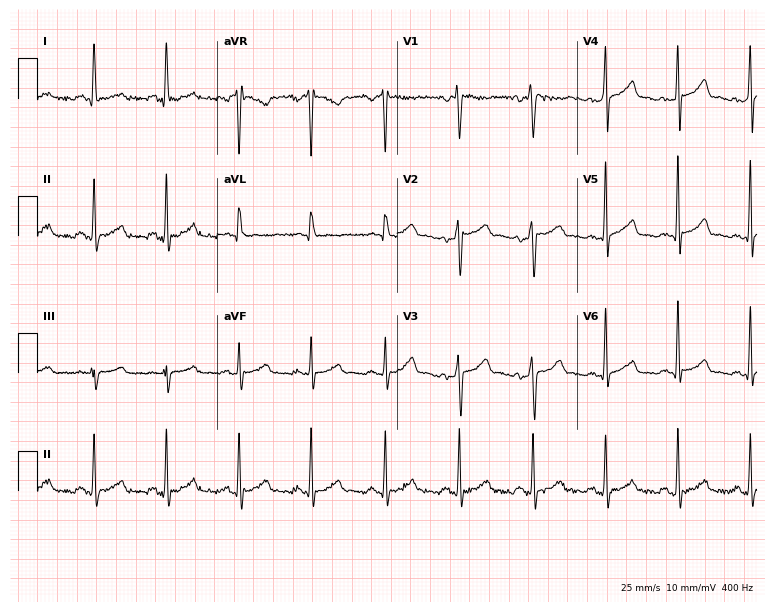
Electrocardiogram (7.3-second recording at 400 Hz), a 56-year-old female. Overall reading on record: normal ECG.